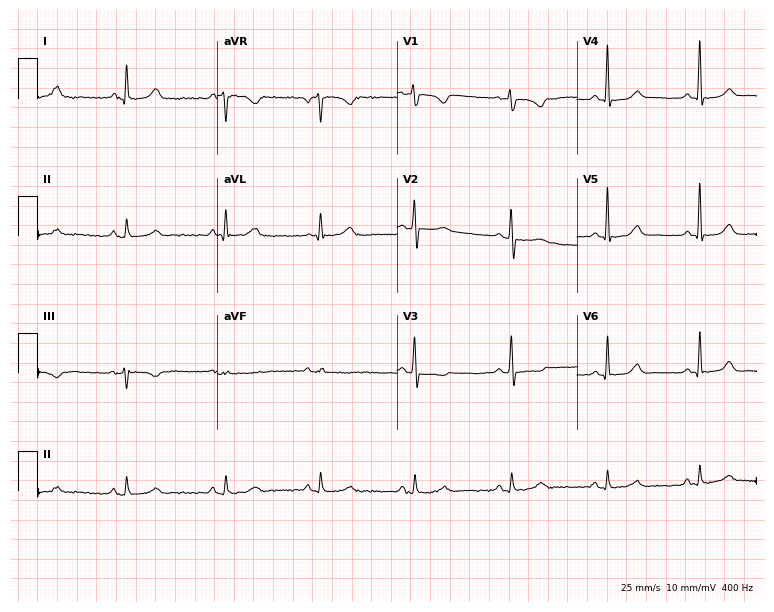
Resting 12-lead electrocardiogram. Patient: a female, 51 years old. None of these six findings is recorded: first-degree AV block, right bundle branch block, left bundle branch block, sinus bradycardia, atrial fibrillation, sinus tachycardia.